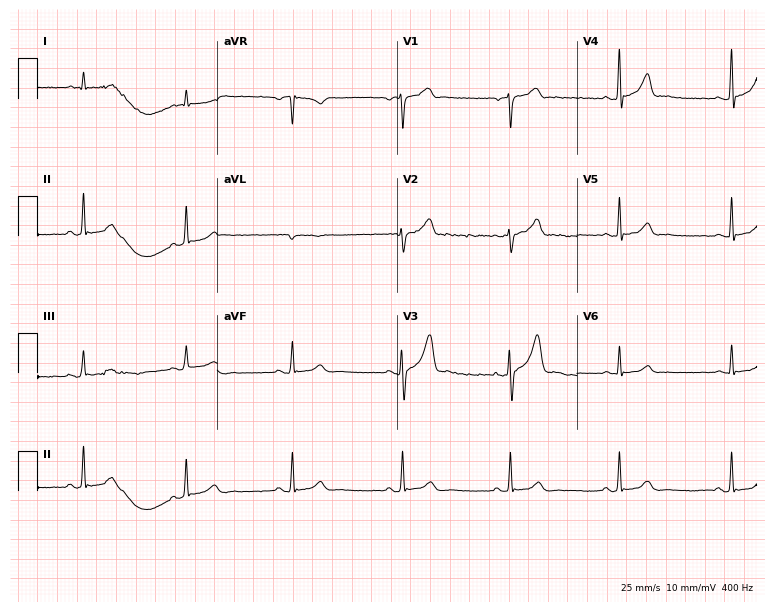
ECG — a man, 47 years old. Screened for six findings — first-degree AV block, right bundle branch block, left bundle branch block, sinus bradycardia, atrial fibrillation, sinus tachycardia — none is recorded. Only these six findings were labelled.